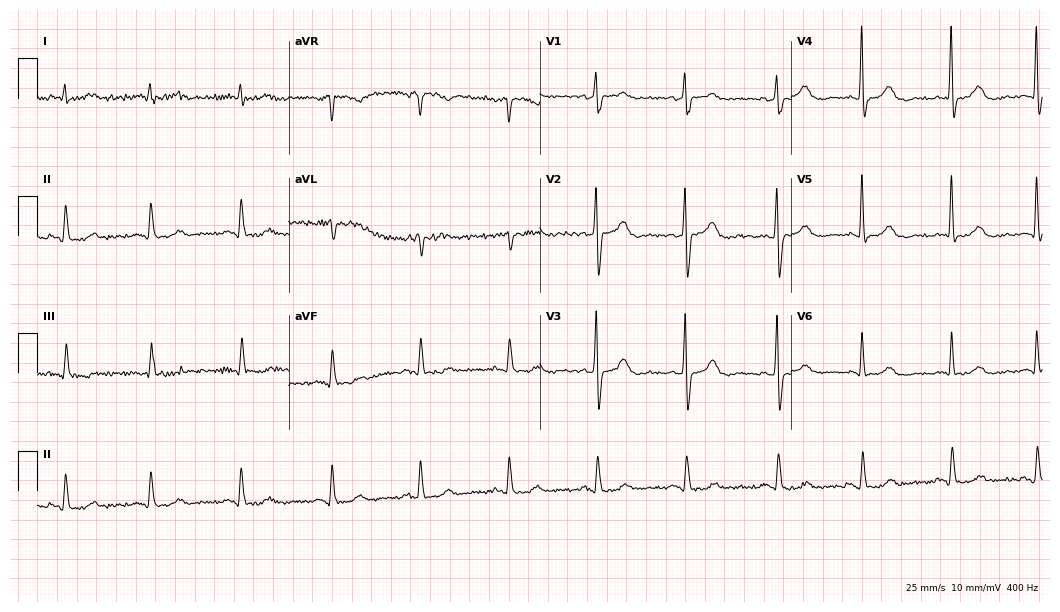
ECG — an 83-year-old woman. Screened for six findings — first-degree AV block, right bundle branch block (RBBB), left bundle branch block (LBBB), sinus bradycardia, atrial fibrillation (AF), sinus tachycardia — none is recorded. Only these six findings were labelled.